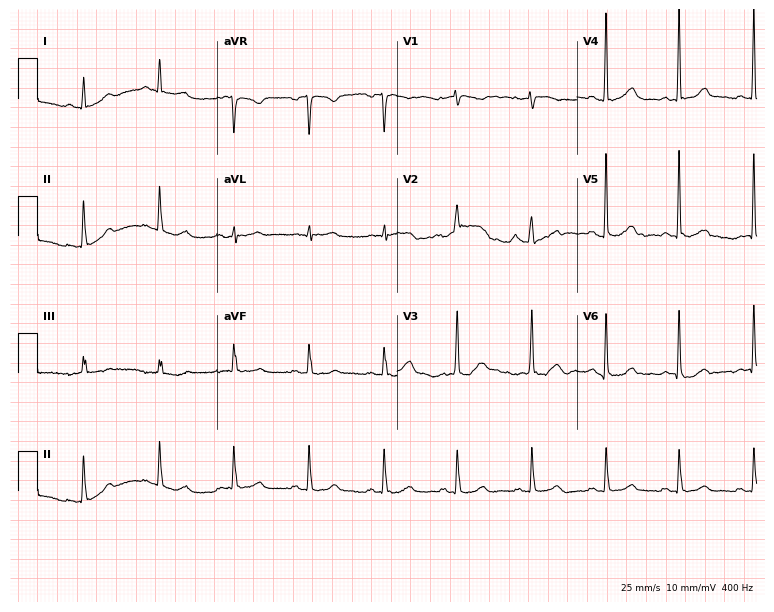
12-lead ECG from a 48-year-old female. Recorded interpretation: within normal limits.